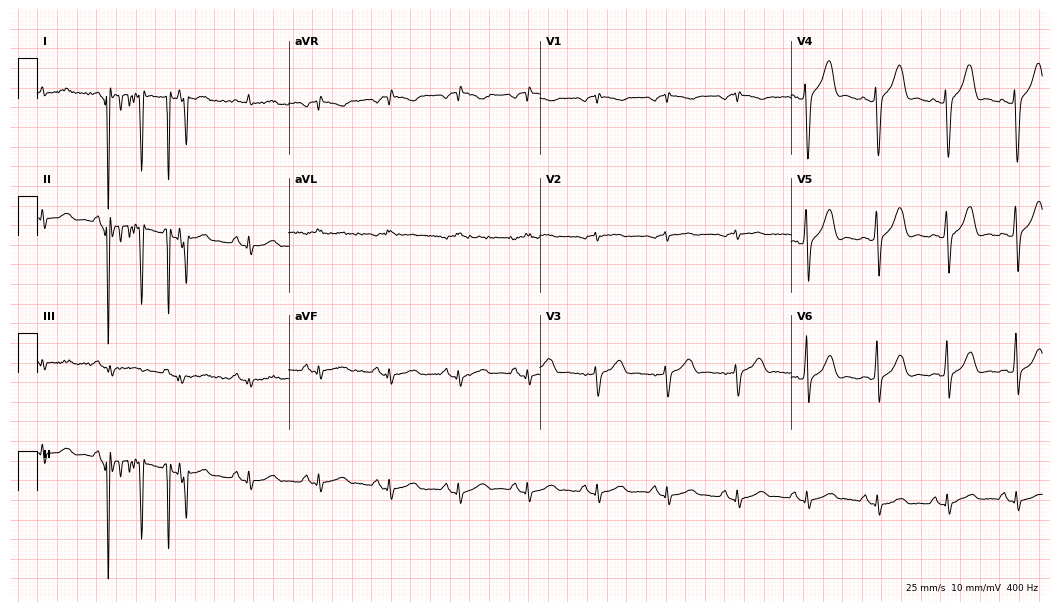
Standard 12-lead ECG recorded from a man, 65 years old (10.2-second recording at 400 Hz). Read as a normal ECG.